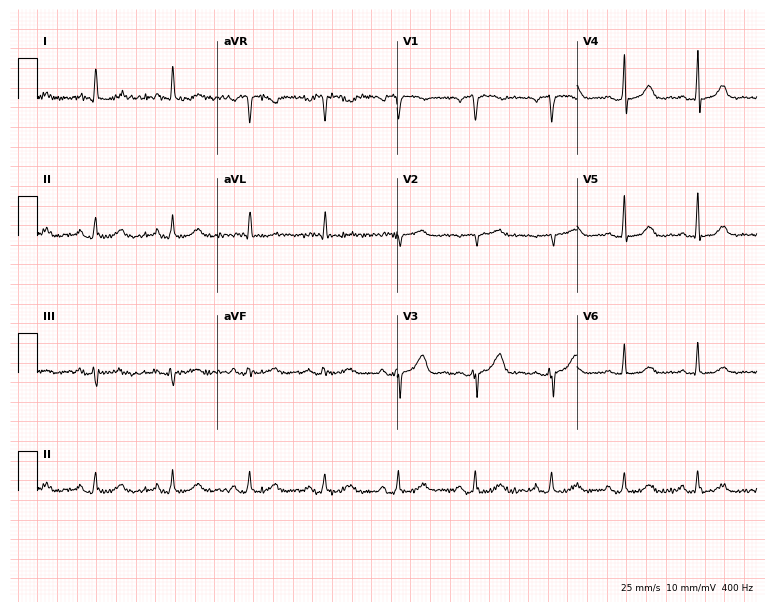
12-lead ECG from a 61-year-old female patient. No first-degree AV block, right bundle branch block, left bundle branch block, sinus bradycardia, atrial fibrillation or sinus tachycardia recorded for this tracing. Only these six findings were labelled.